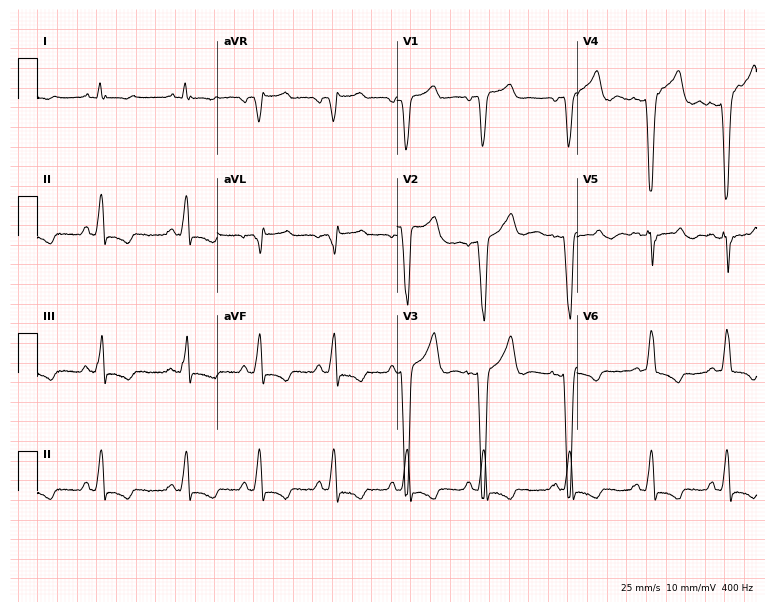
Resting 12-lead electrocardiogram (7.3-second recording at 400 Hz). Patient: a female, 47 years old. The tracing shows left bundle branch block (LBBB).